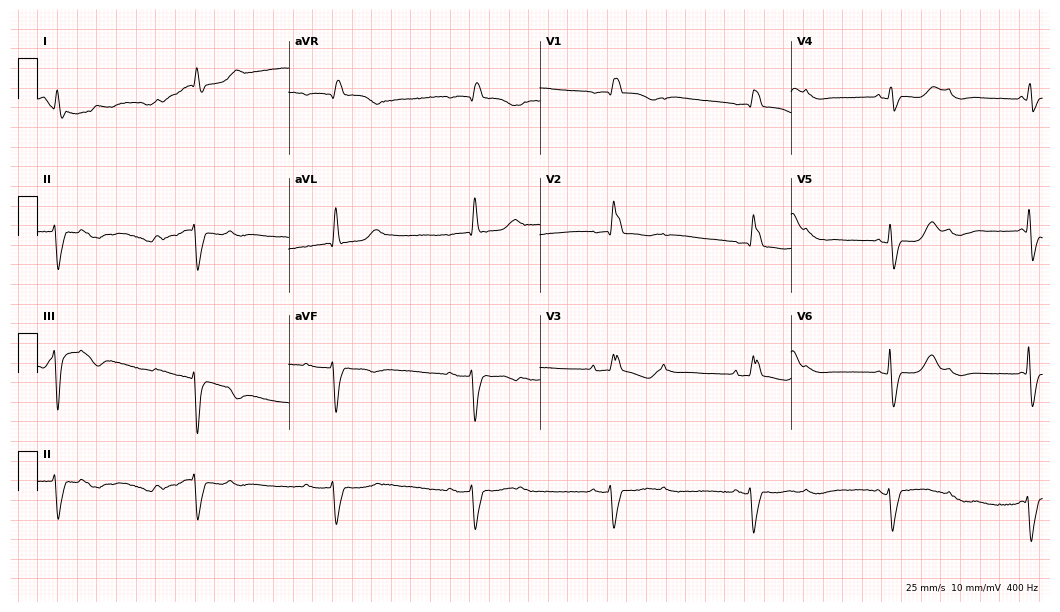
12-lead ECG from an 81-year-old female patient. Shows first-degree AV block.